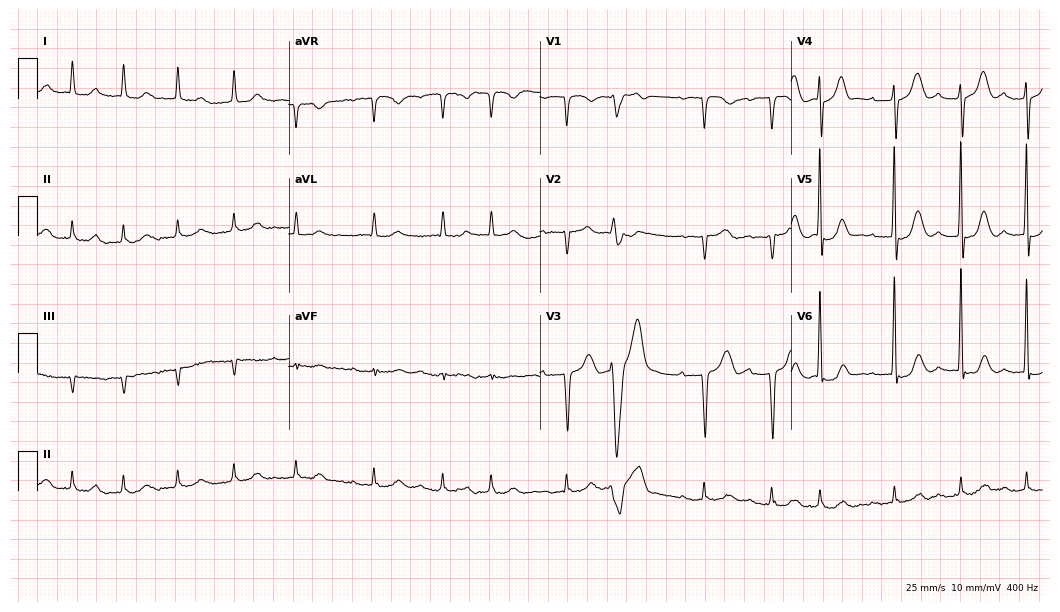
Resting 12-lead electrocardiogram (10.2-second recording at 400 Hz). Patient: an 84-year-old male. The tracing shows first-degree AV block, atrial fibrillation.